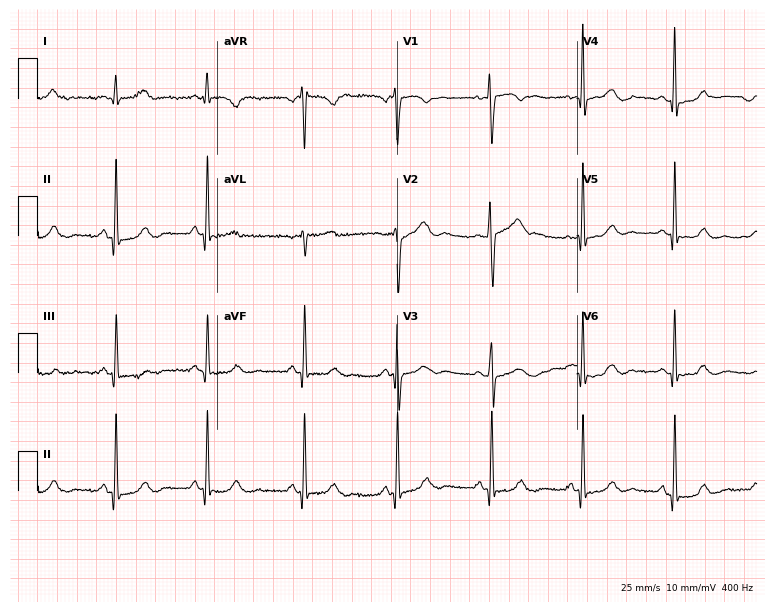
Resting 12-lead electrocardiogram. Patient: a female, 44 years old. None of these six findings is recorded: first-degree AV block, right bundle branch block, left bundle branch block, sinus bradycardia, atrial fibrillation, sinus tachycardia.